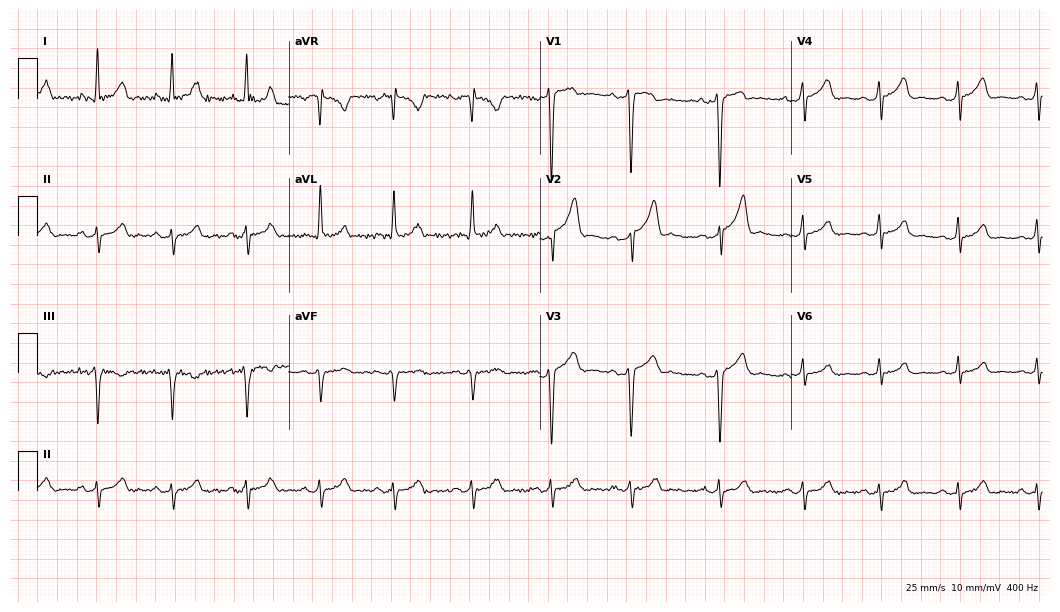
Standard 12-lead ECG recorded from a 26-year-old female (10.2-second recording at 400 Hz). None of these six findings is recorded: first-degree AV block, right bundle branch block, left bundle branch block, sinus bradycardia, atrial fibrillation, sinus tachycardia.